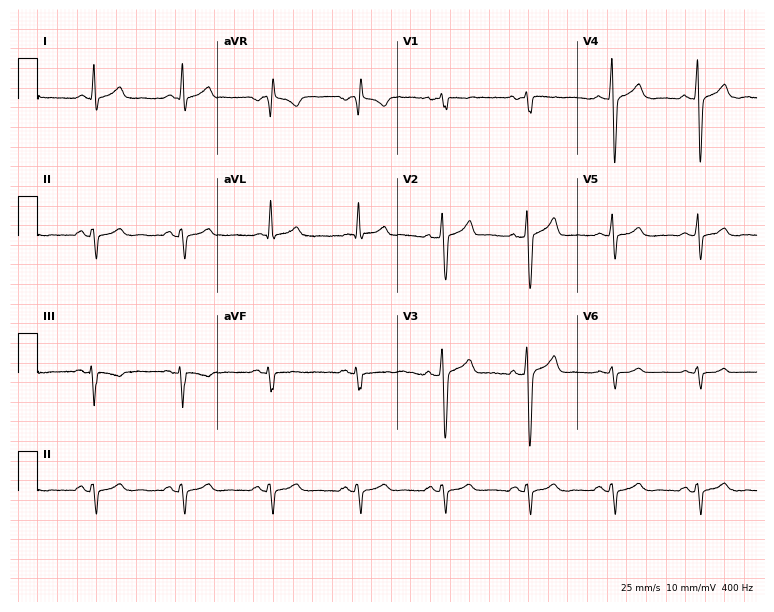
Resting 12-lead electrocardiogram (7.3-second recording at 400 Hz). Patient: a 61-year-old male. None of these six findings is recorded: first-degree AV block, right bundle branch block, left bundle branch block, sinus bradycardia, atrial fibrillation, sinus tachycardia.